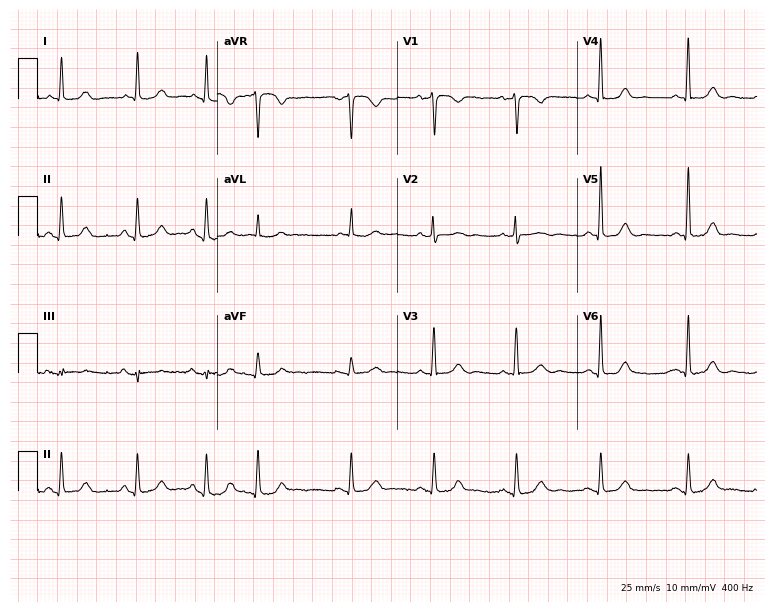
Resting 12-lead electrocardiogram (7.3-second recording at 400 Hz). Patient: a 79-year-old woman. None of these six findings is recorded: first-degree AV block, right bundle branch block, left bundle branch block, sinus bradycardia, atrial fibrillation, sinus tachycardia.